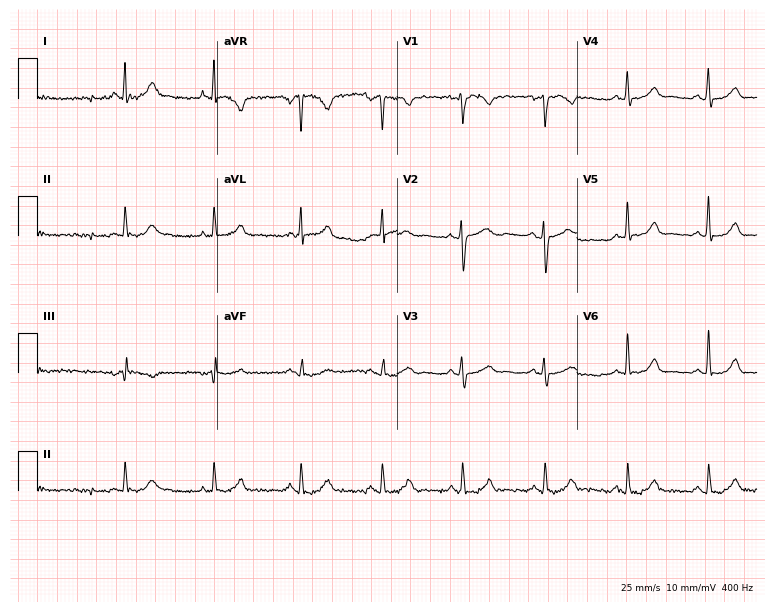
12-lead ECG (7.3-second recording at 400 Hz) from a female, 35 years old. Labelled as a normal ECG.